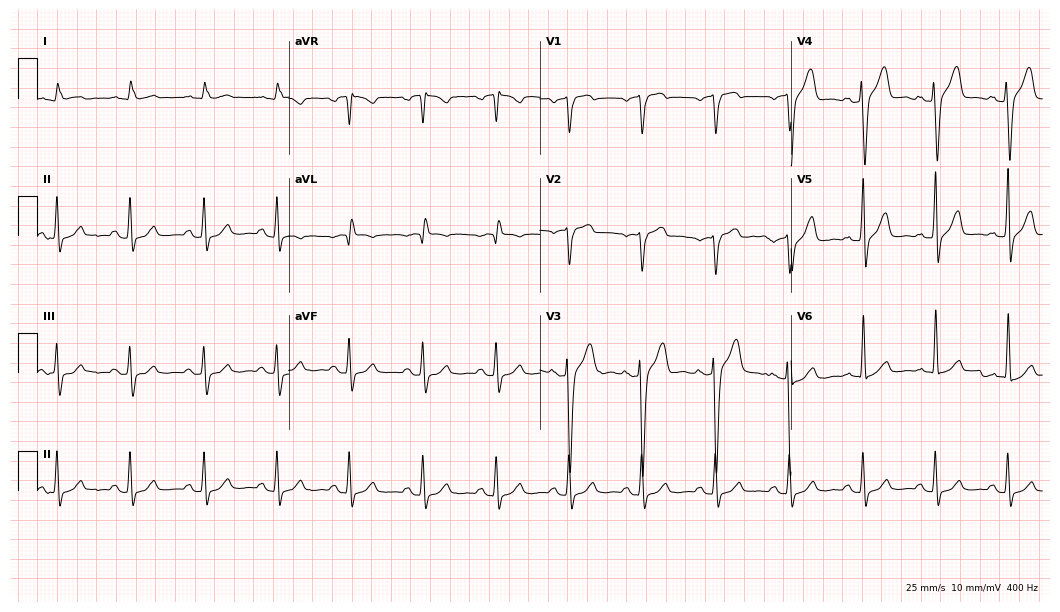
Resting 12-lead electrocardiogram. Patient: a male, 56 years old. None of these six findings is recorded: first-degree AV block, right bundle branch block (RBBB), left bundle branch block (LBBB), sinus bradycardia, atrial fibrillation (AF), sinus tachycardia. Other findings, if any, are not listed.